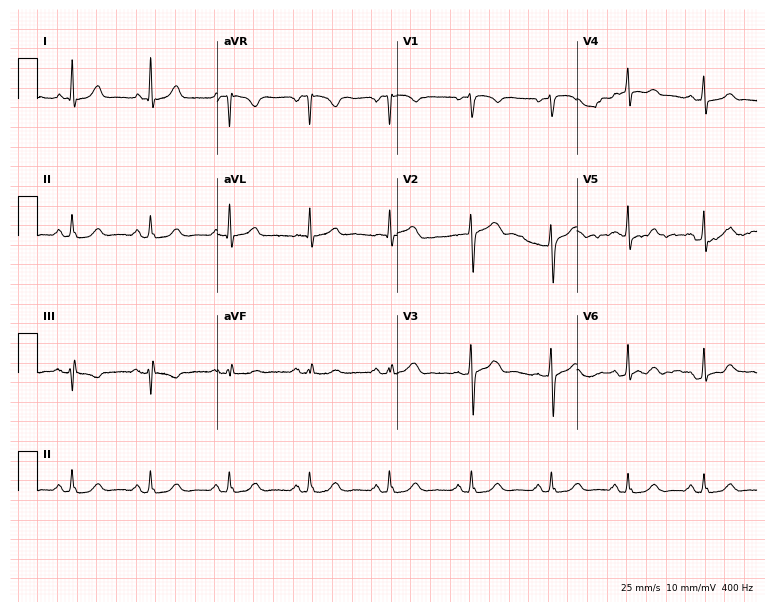
Standard 12-lead ECG recorded from a female, 56 years old (7.3-second recording at 400 Hz). None of these six findings is recorded: first-degree AV block, right bundle branch block, left bundle branch block, sinus bradycardia, atrial fibrillation, sinus tachycardia. Findings outside these six are not listed.